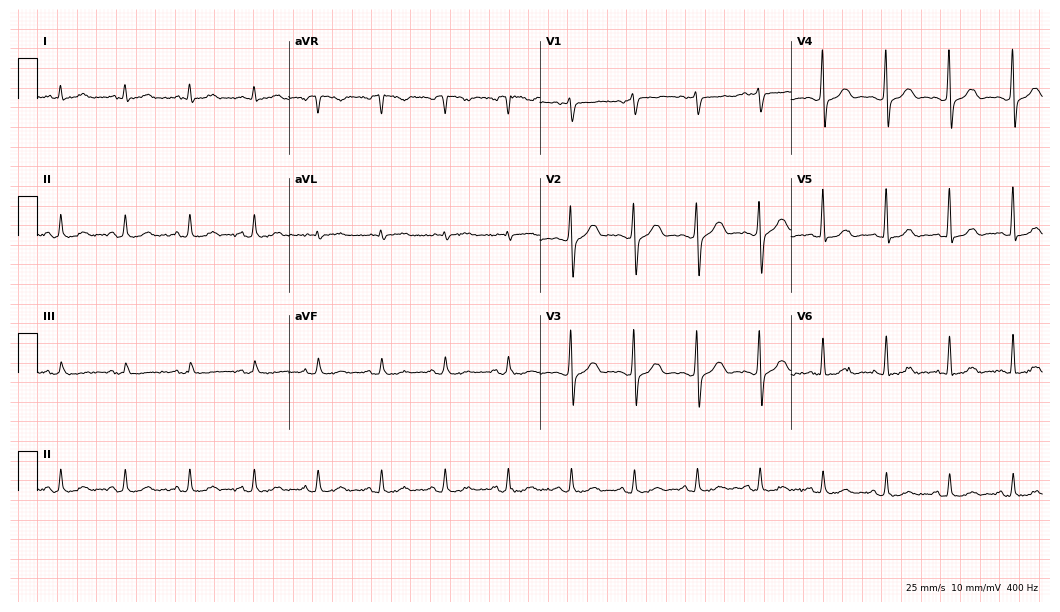
Resting 12-lead electrocardiogram (10.2-second recording at 400 Hz). Patient: a male, 44 years old. Read as a normal ECG.